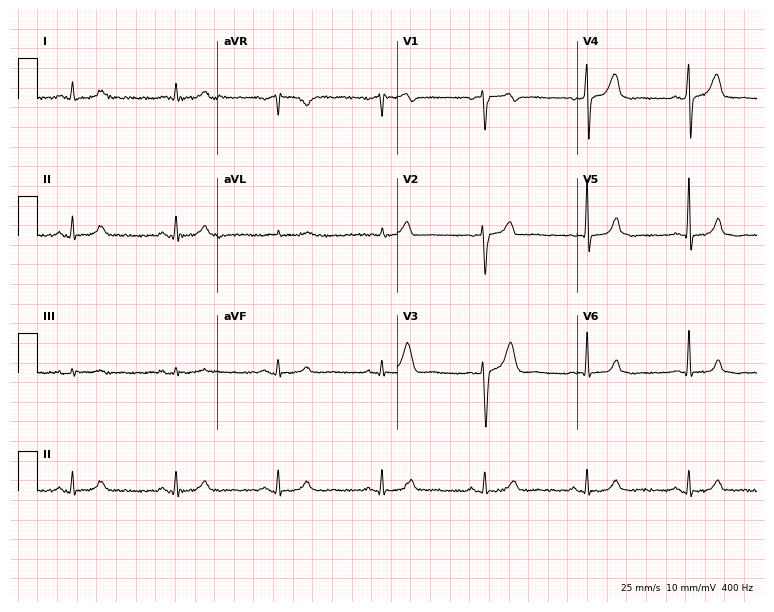
Standard 12-lead ECG recorded from a male, 61 years old (7.3-second recording at 400 Hz). Read as a normal ECG.